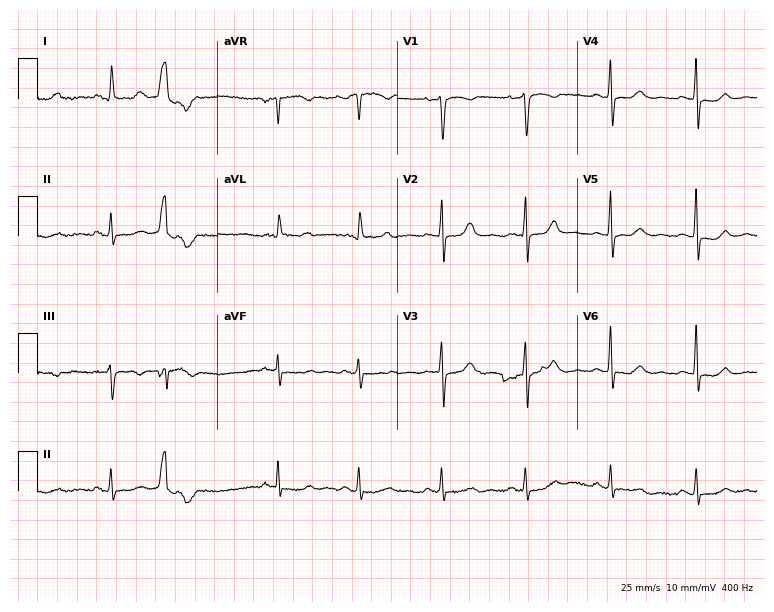
Electrocardiogram, a woman, 62 years old. Of the six screened findings (first-degree AV block, right bundle branch block (RBBB), left bundle branch block (LBBB), sinus bradycardia, atrial fibrillation (AF), sinus tachycardia), none is recorded. Findings outside these six are not listed.